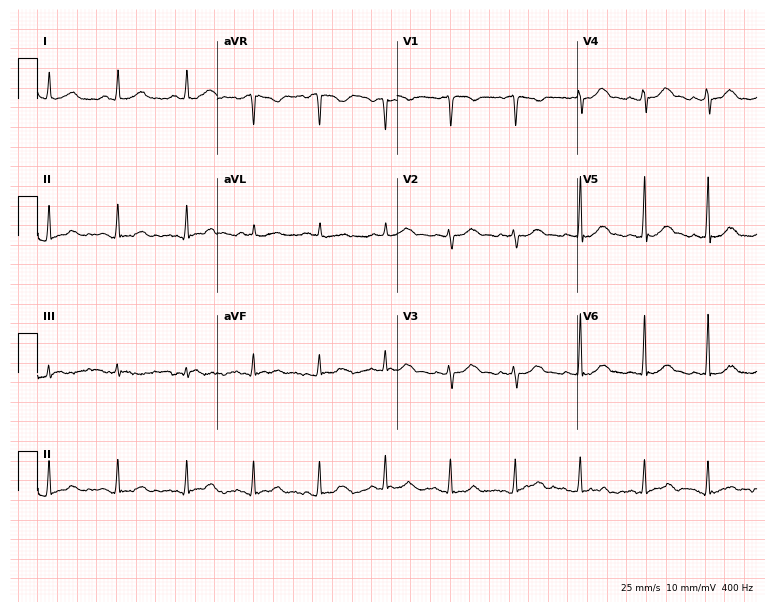
Standard 12-lead ECG recorded from a male patient, 35 years old (7.3-second recording at 400 Hz). None of these six findings is recorded: first-degree AV block, right bundle branch block, left bundle branch block, sinus bradycardia, atrial fibrillation, sinus tachycardia. Other findings, if any, are not listed.